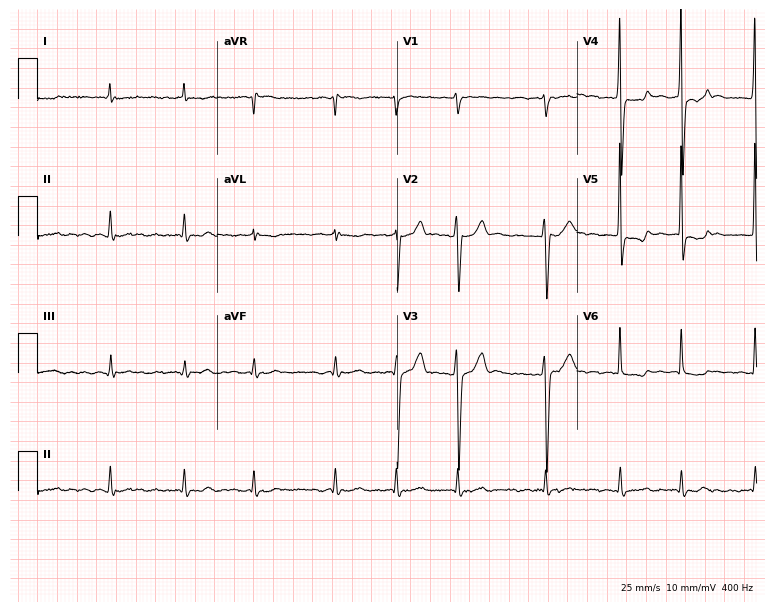
Resting 12-lead electrocardiogram (7.3-second recording at 400 Hz). Patient: a 77-year-old man. The tracing shows atrial fibrillation (AF).